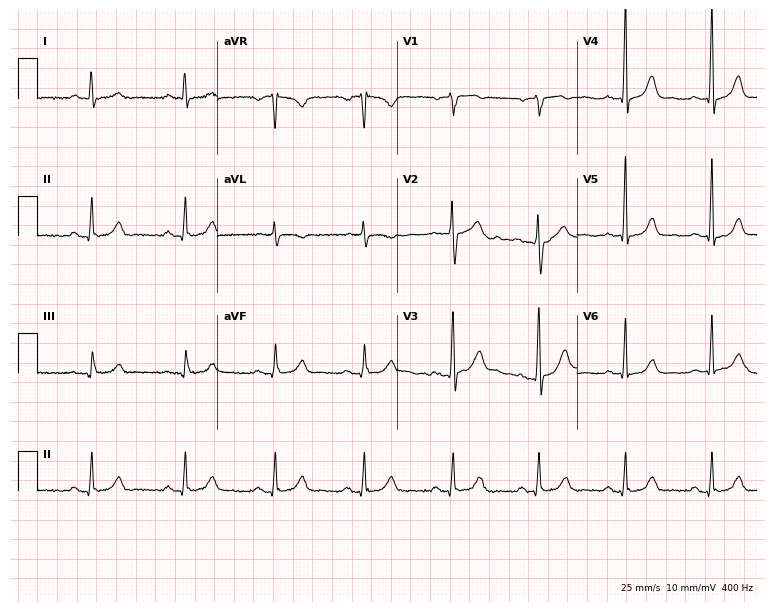
Standard 12-lead ECG recorded from a male, 65 years old (7.3-second recording at 400 Hz). Read as a normal ECG.